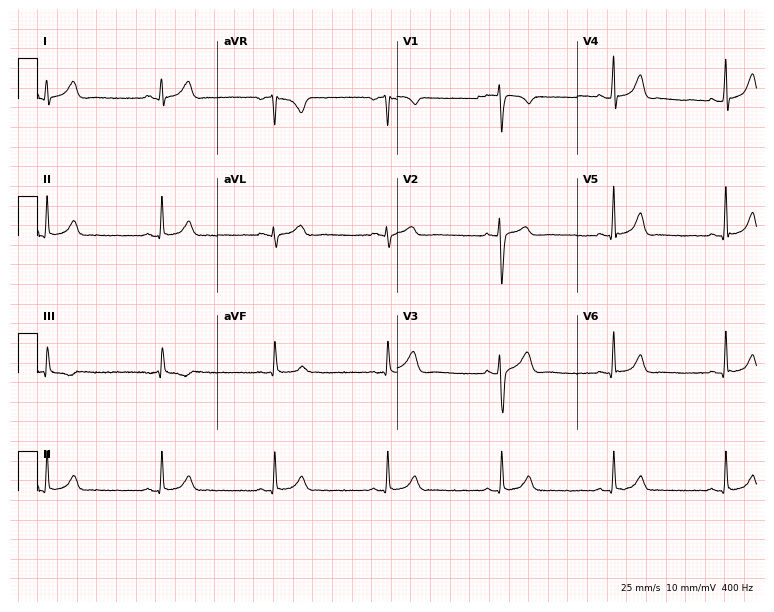
Standard 12-lead ECG recorded from a female patient, 36 years old (7.3-second recording at 400 Hz). Read as a normal ECG.